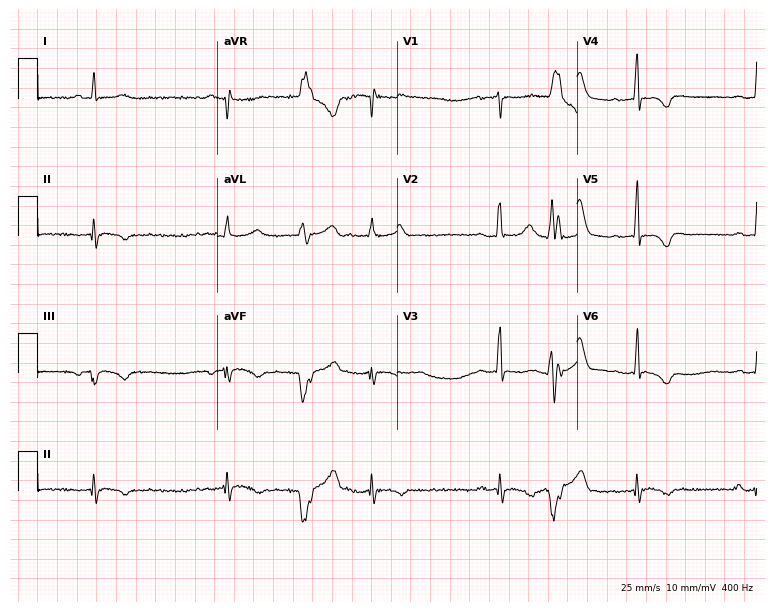
ECG — a man, 50 years old. Findings include sinus bradycardia (a sinus rate of 50 beats per minute or less).